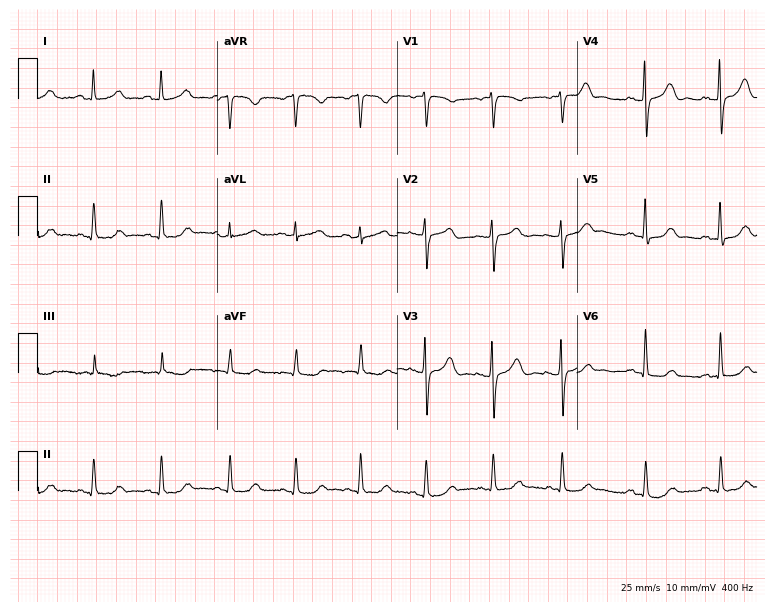
Resting 12-lead electrocardiogram (7.3-second recording at 400 Hz). Patient: an 81-year-old female. None of these six findings is recorded: first-degree AV block, right bundle branch block, left bundle branch block, sinus bradycardia, atrial fibrillation, sinus tachycardia.